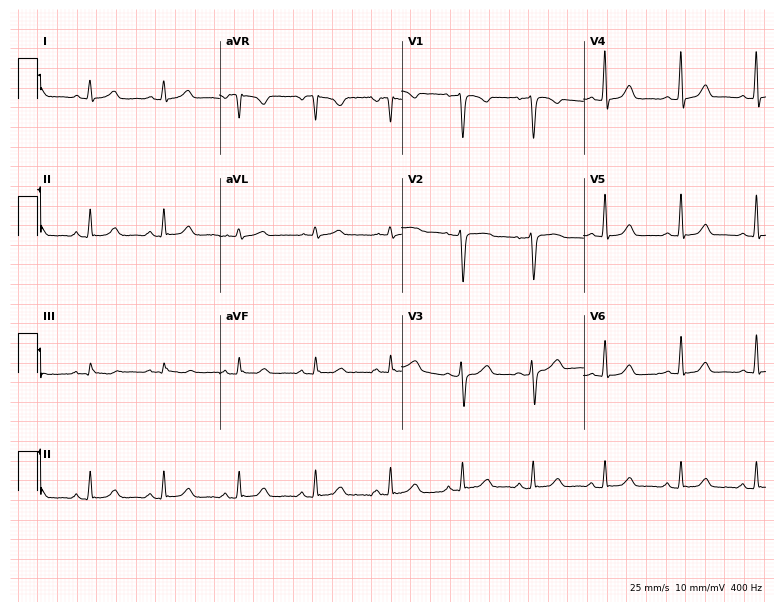
Resting 12-lead electrocardiogram (7.4-second recording at 400 Hz). Patient: a 52-year-old female. Read as a normal ECG.